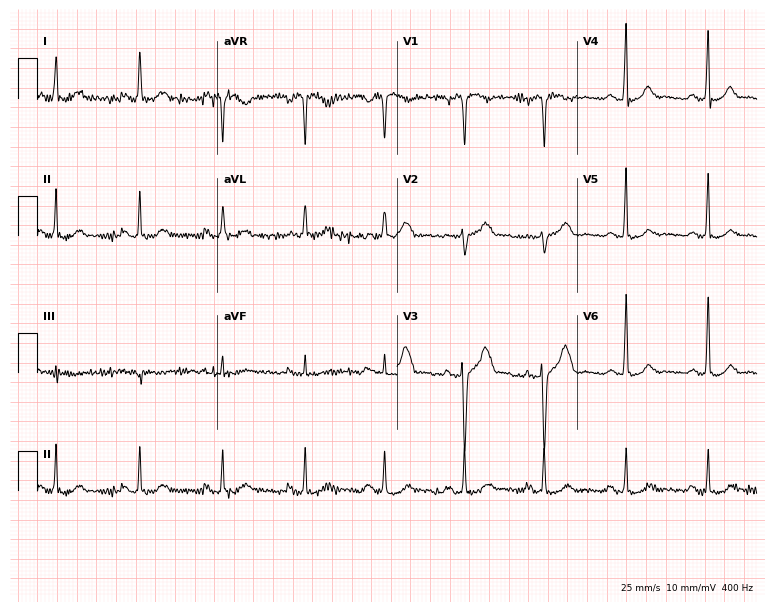
ECG (7.3-second recording at 400 Hz) — a 52-year-old male patient. Labelled as a normal ECG.